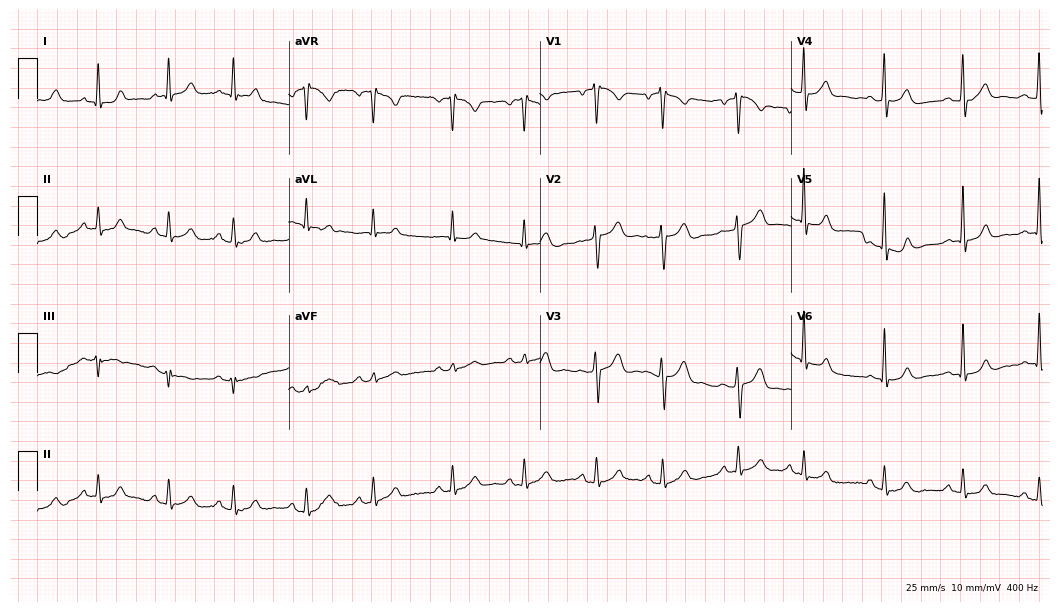
ECG — a male, 49 years old. Labelled as a normal ECG.